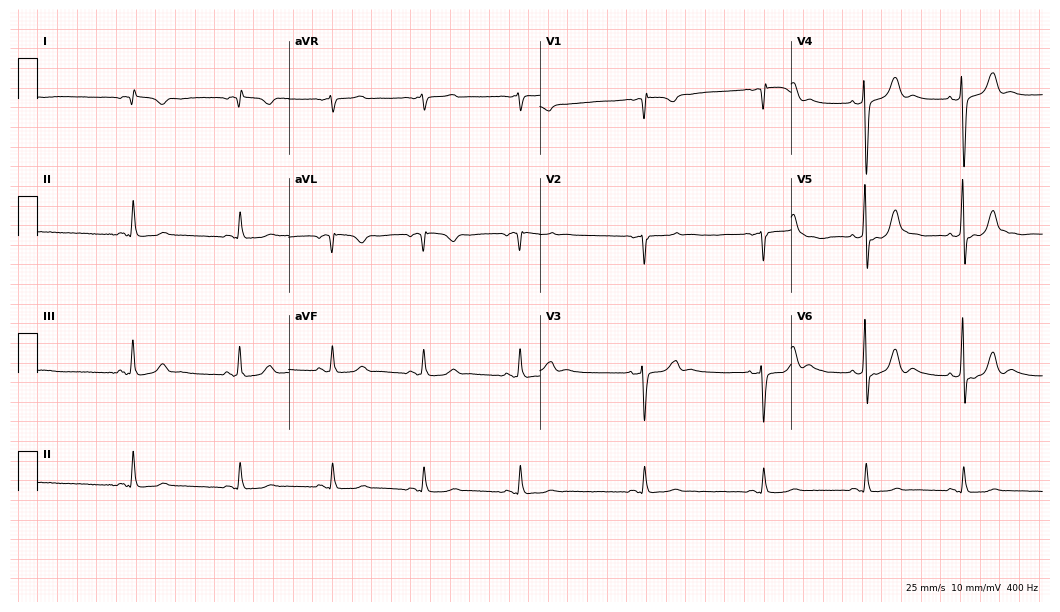
Resting 12-lead electrocardiogram (10.2-second recording at 400 Hz). Patient: a female, 54 years old. None of these six findings is recorded: first-degree AV block, right bundle branch block, left bundle branch block, sinus bradycardia, atrial fibrillation, sinus tachycardia.